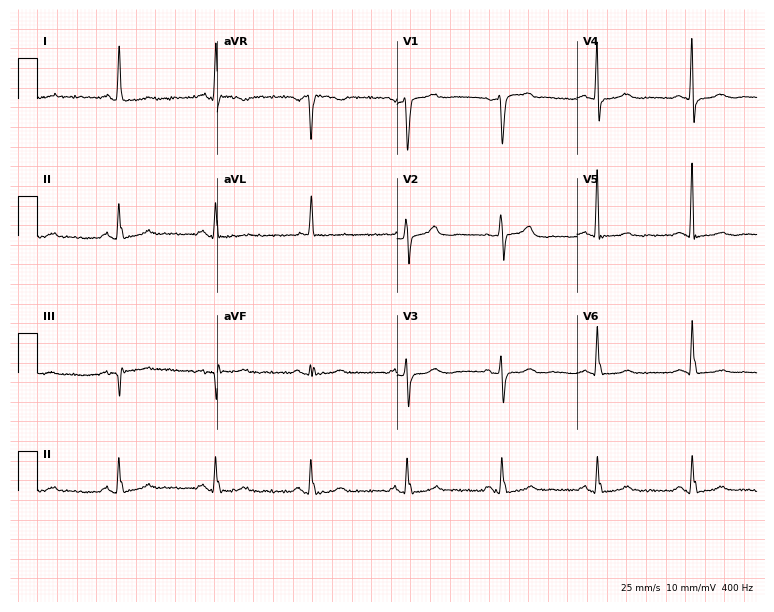
12-lead ECG from a female patient, 78 years old. Screened for six findings — first-degree AV block, right bundle branch block, left bundle branch block, sinus bradycardia, atrial fibrillation, sinus tachycardia — none is recorded.